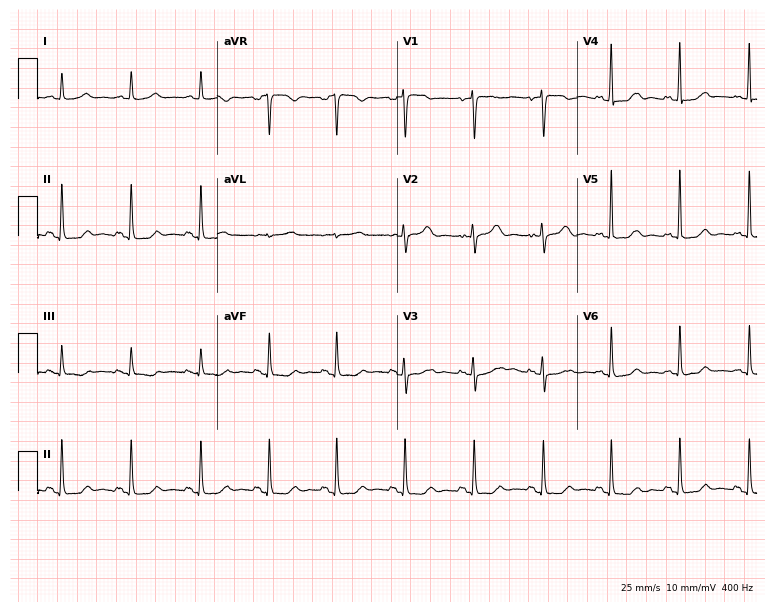
Standard 12-lead ECG recorded from a female, 85 years old (7.3-second recording at 400 Hz). Read as a normal ECG.